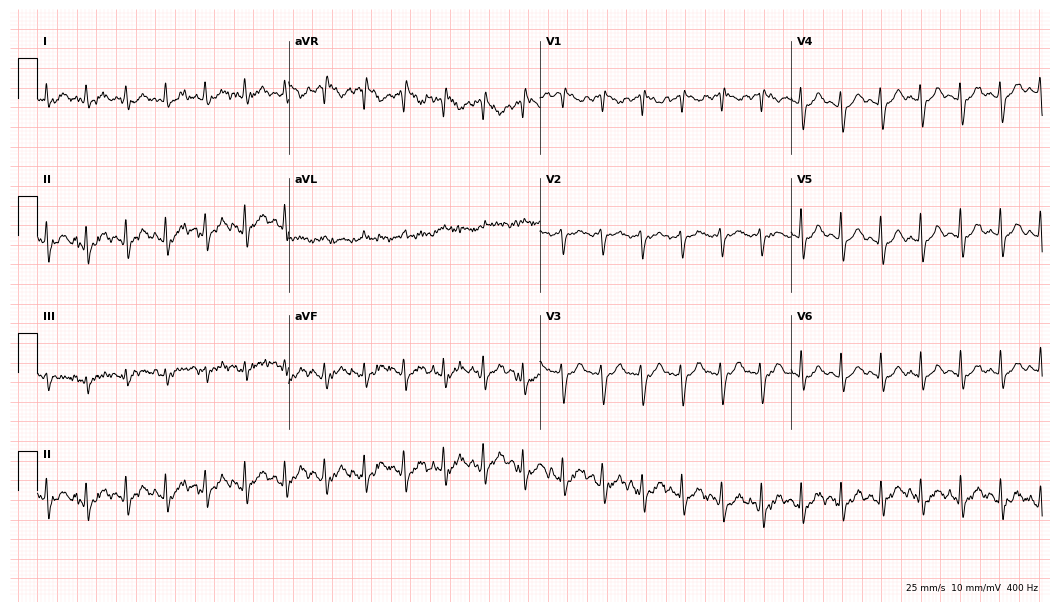
Standard 12-lead ECG recorded from a 74-year-old female. None of these six findings is recorded: first-degree AV block, right bundle branch block (RBBB), left bundle branch block (LBBB), sinus bradycardia, atrial fibrillation (AF), sinus tachycardia. Findings outside these six are not listed.